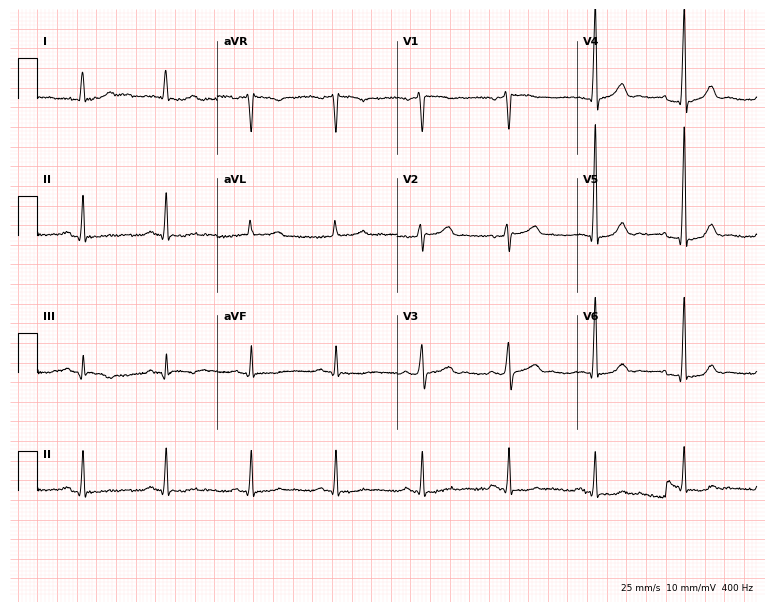
Standard 12-lead ECG recorded from a 52-year-old male. Read as a normal ECG.